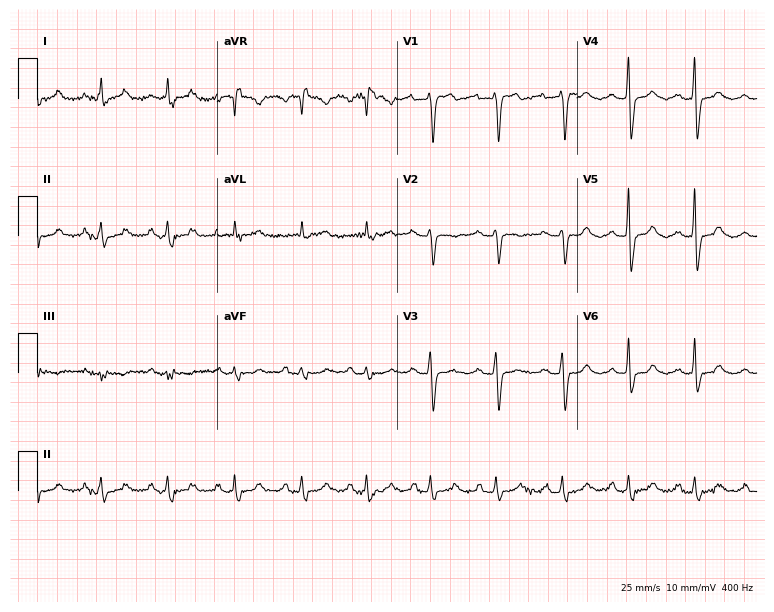
12-lead ECG from a 56-year-old woman. Recorded interpretation: within normal limits.